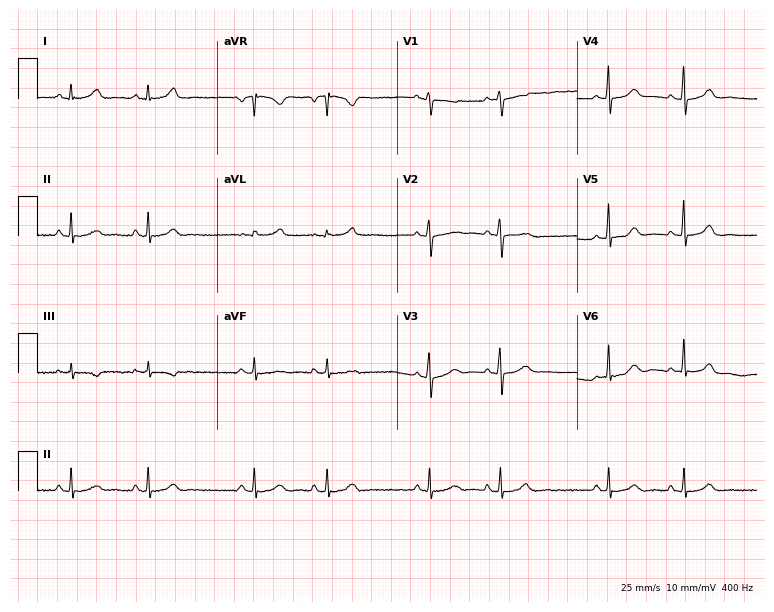
Standard 12-lead ECG recorded from a woman, 31 years old. None of these six findings is recorded: first-degree AV block, right bundle branch block, left bundle branch block, sinus bradycardia, atrial fibrillation, sinus tachycardia. Other findings, if any, are not listed.